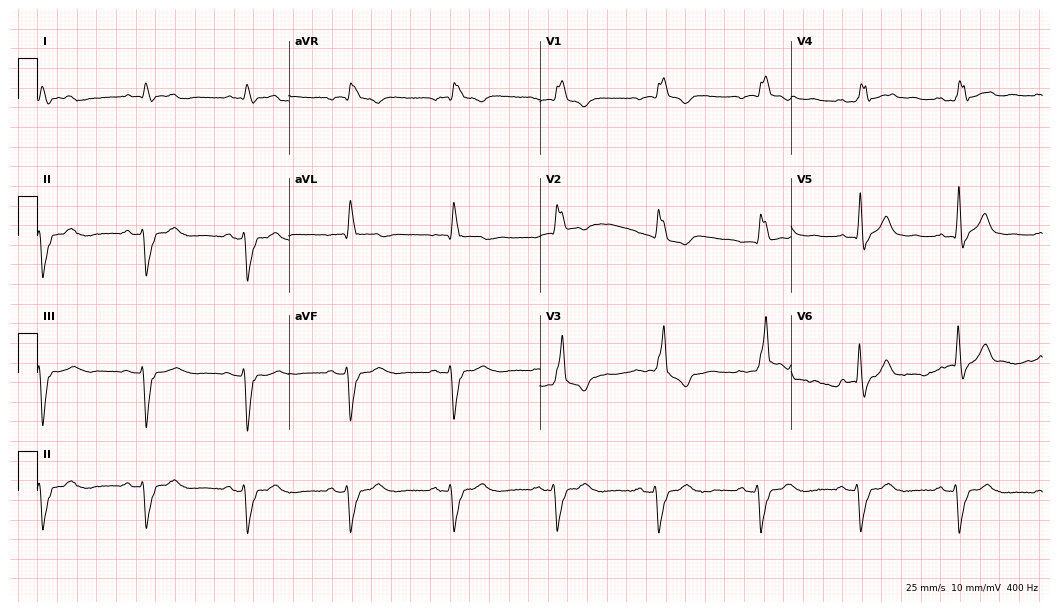
12-lead ECG from a 75-year-old woman. Findings include right bundle branch block (RBBB).